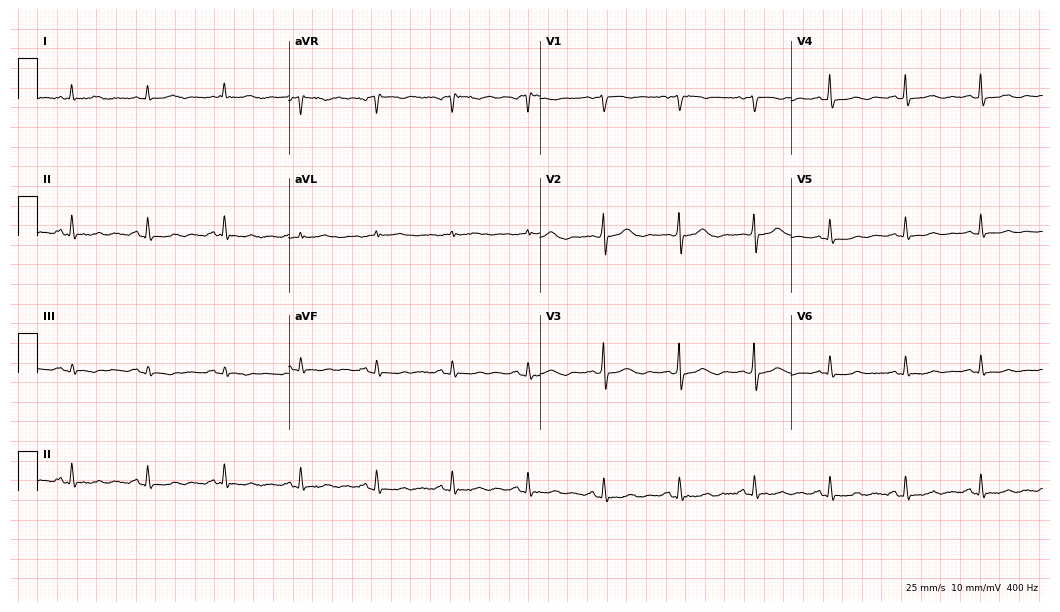
Resting 12-lead electrocardiogram (10.2-second recording at 400 Hz). Patient: a woman, 64 years old. None of these six findings is recorded: first-degree AV block, right bundle branch block, left bundle branch block, sinus bradycardia, atrial fibrillation, sinus tachycardia. Other findings, if any, are not listed.